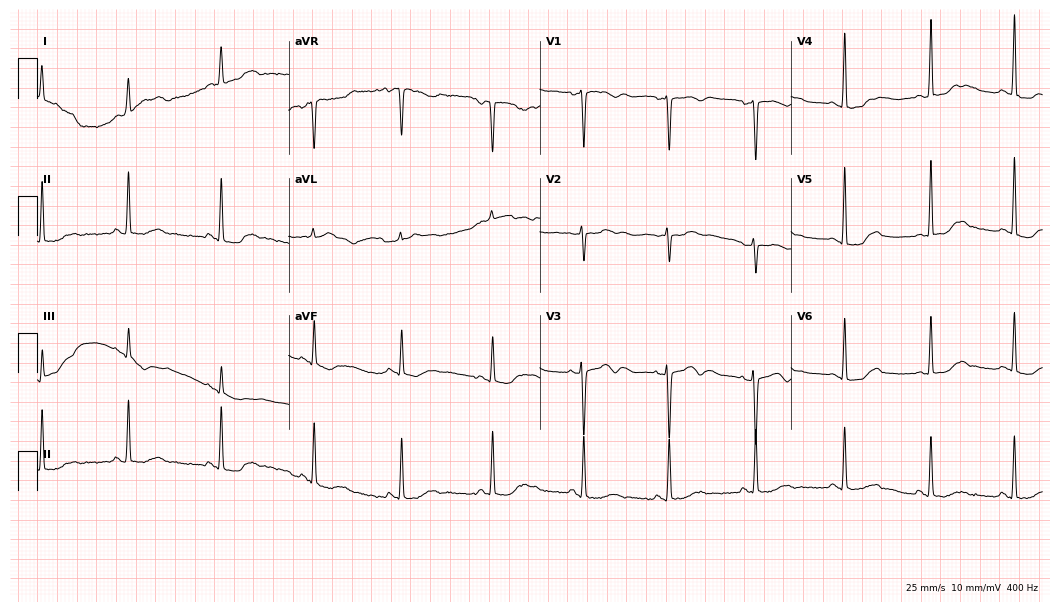
12-lead ECG from a 25-year-old female patient. Screened for six findings — first-degree AV block, right bundle branch block, left bundle branch block, sinus bradycardia, atrial fibrillation, sinus tachycardia — none is recorded. Findings outside these six are not listed.